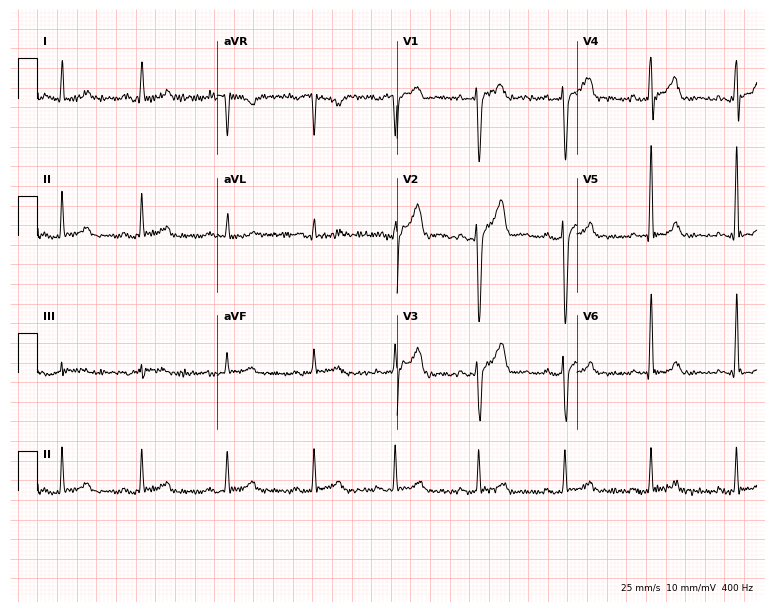
Electrocardiogram (7.3-second recording at 400 Hz), a 31-year-old male patient. Of the six screened findings (first-degree AV block, right bundle branch block (RBBB), left bundle branch block (LBBB), sinus bradycardia, atrial fibrillation (AF), sinus tachycardia), none is recorded. Other findings, if any, are not listed.